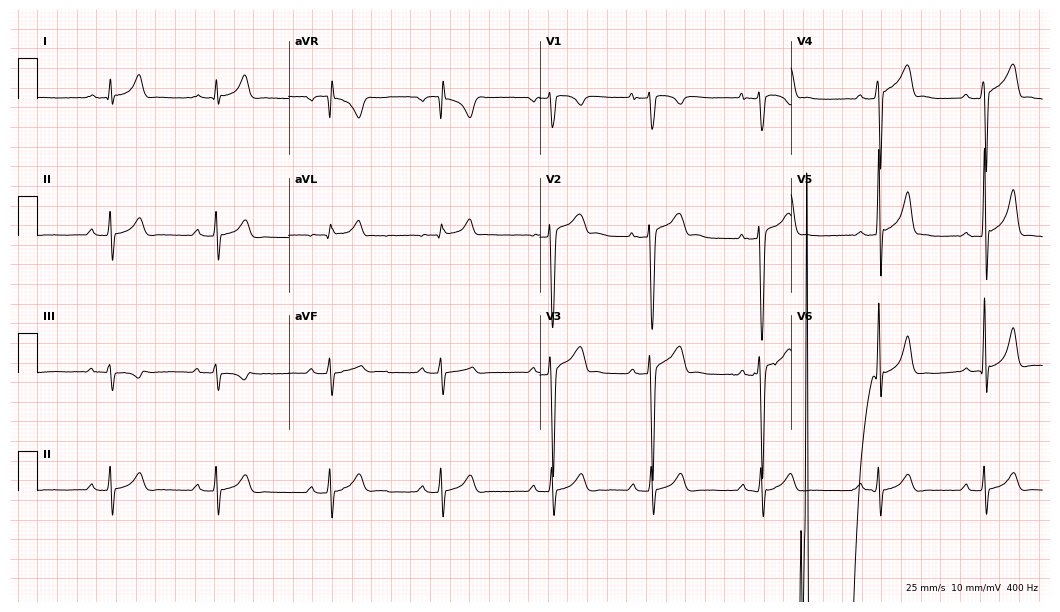
12-lead ECG from a 22-year-old male patient (10.2-second recording at 400 Hz). No first-degree AV block, right bundle branch block, left bundle branch block, sinus bradycardia, atrial fibrillation or sinus tachycardia recorded for this tracing.